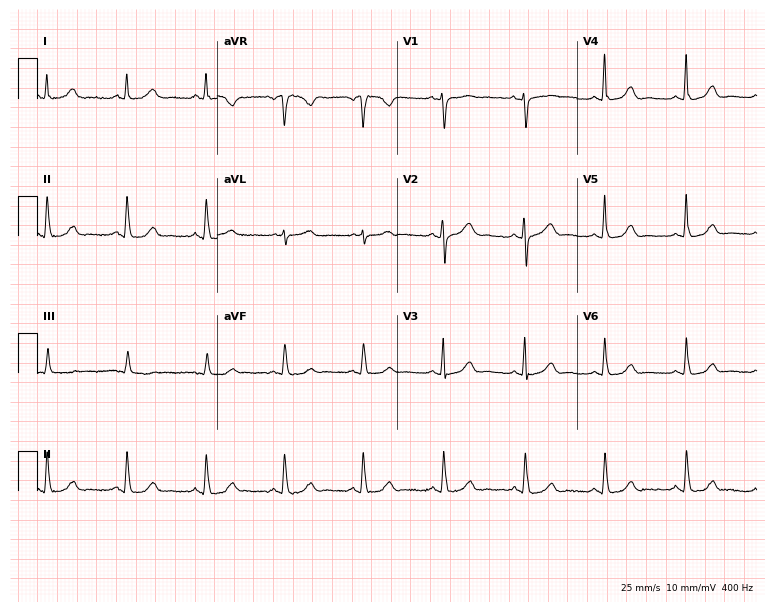
Electrocardiogram, a woman, 58 years old. Overall reading on record: normal ECG.